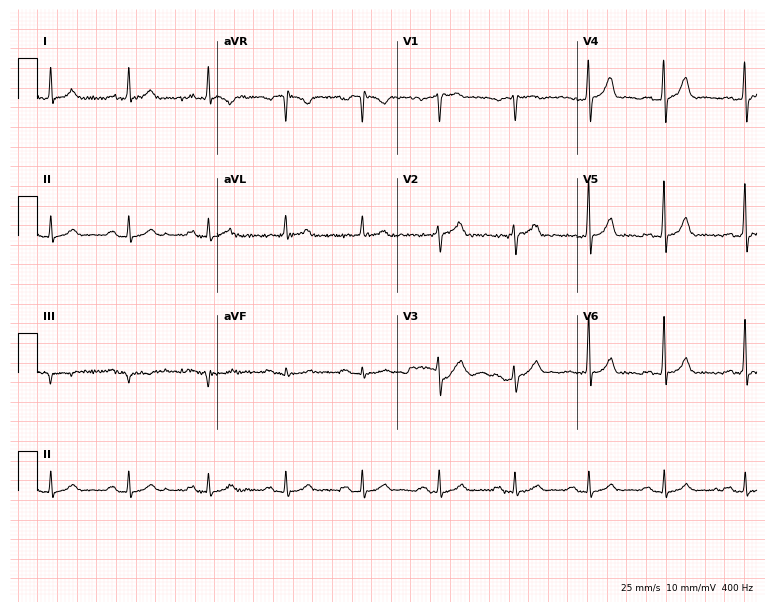
Electrocardiogram (7.3-second recording at 400 Hz), a 49-year-old male patient. Of the six screened findings (first-degree AV block, right bundle branch block, left bundle branch block, sinus bradycardia, atrial fibrillation, sinus tachycardia), none is recorded. Only these six findings were labelled.